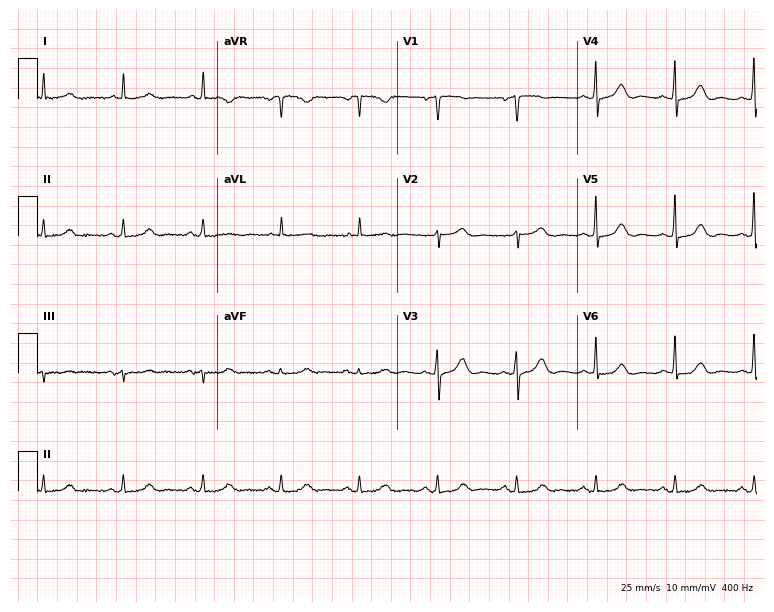
Standard 12-lead ECG recorded from a woman, 78 years old. None of these six findings is recorded: first-degree AV block, right bundle branch block (RBBB), left bundle branch block (LBBB), sinus bradycardia, atrial fibrillation (AF), sinus tachycardia.